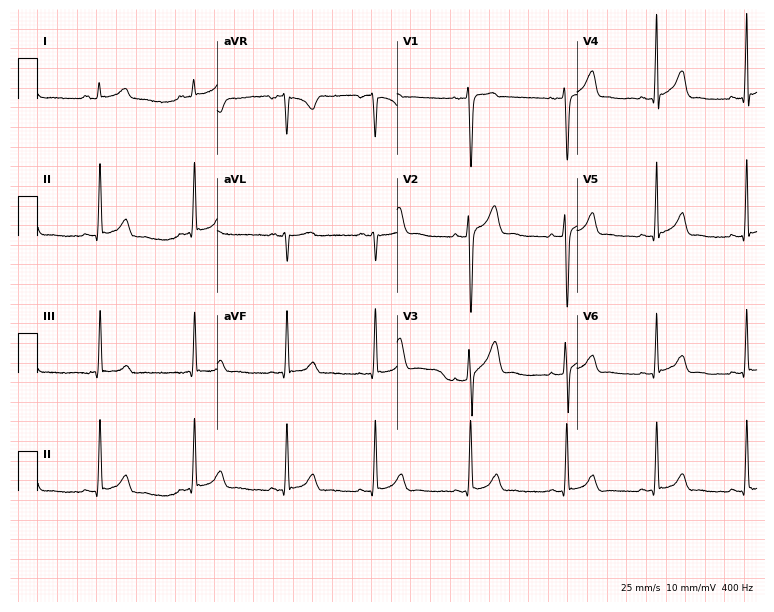
ECG — a 28-year-old male patient. Labelled as a normal ECG.